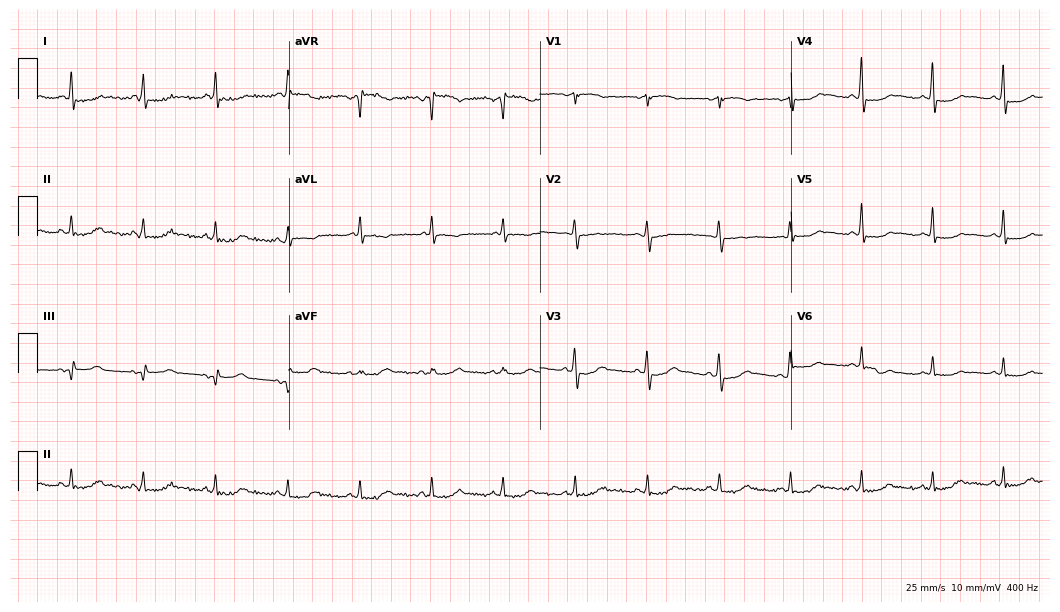
ECG (10.2-second recording at 400 Hz) — a female patient, 64 years old. Screened for six findings — first-degree AV block, right bundle branch block (RBBB), left bundle branch block (LBBB), sinus bradycardia, atrial fibrillation (AF), sinus tachycardia — none is recorded.